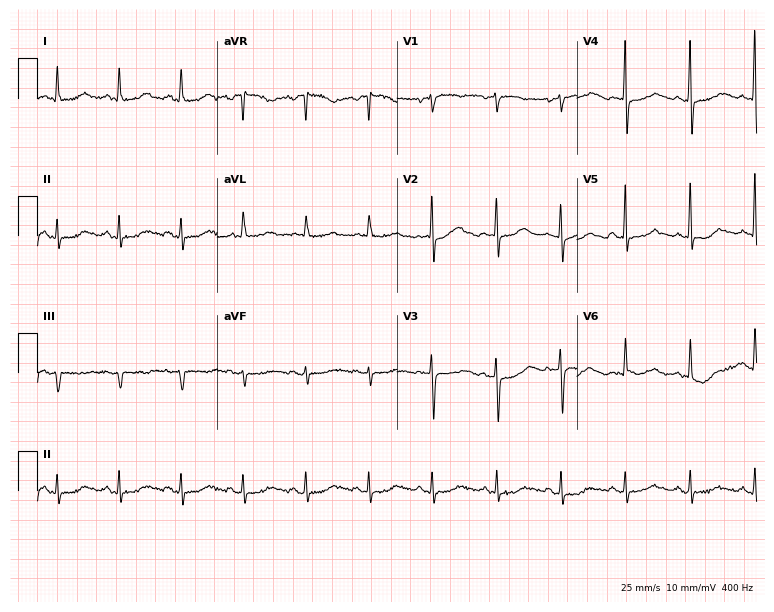
Resting 12-lead electrocardiogram (7.3-second recording at 400 Hz). Patient: a 73-year-old woman. Read as a normal ECG.